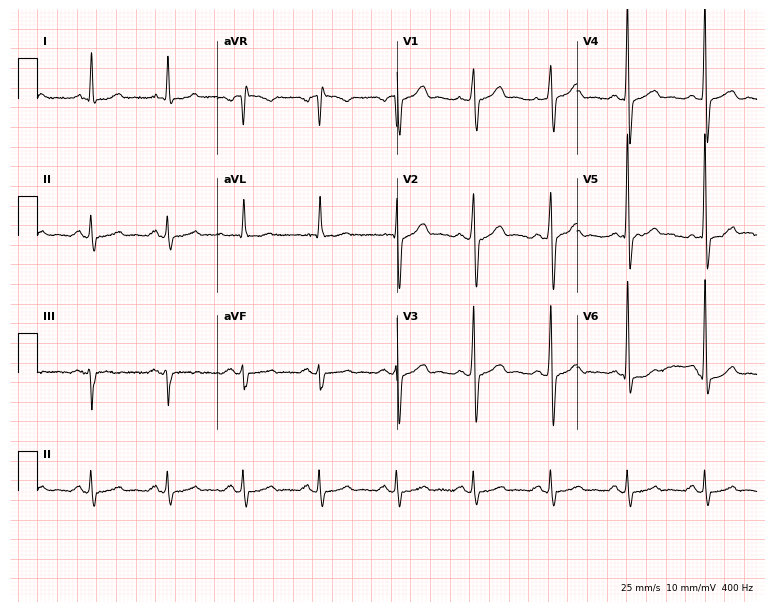
Resting 12-lead electrocardiogram (7.3-second recording at 400 Hz). Patient: a 68-year-old man. Read as a normal ECG.